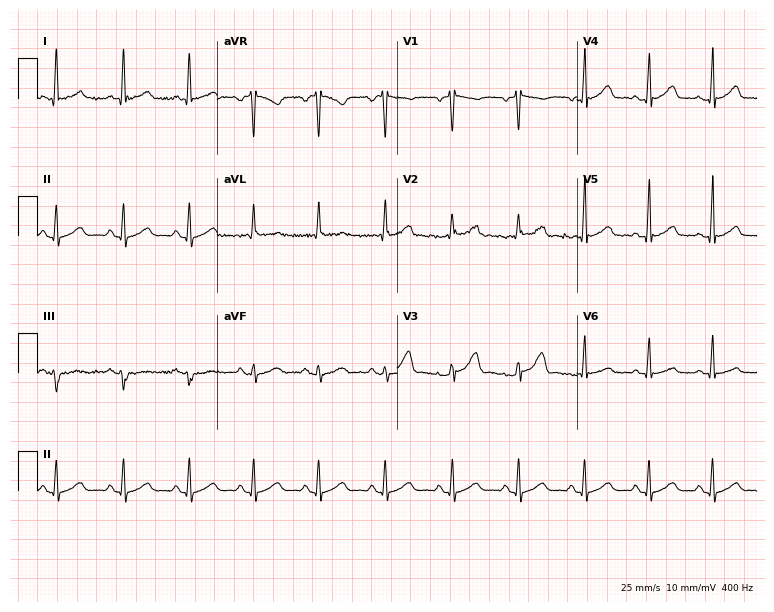
12-lead ECG from a female patient, 47 years old (7.3-second recording at 400 Hz). Recorded interpretation: within normal limits.